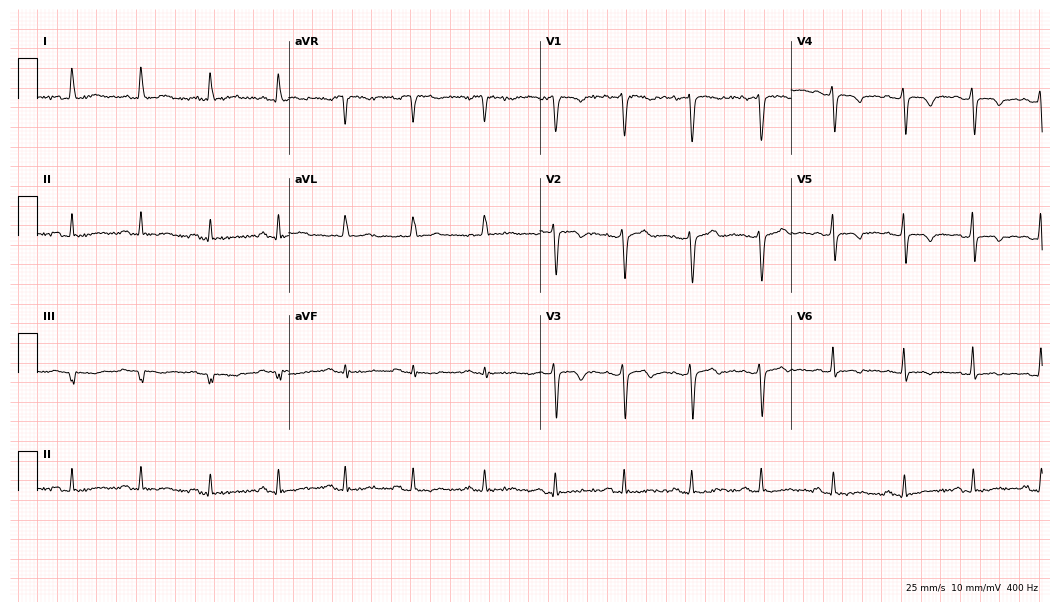
Resting 12-lead electrocardiogram (10.2-second recording at 400 Hz). Patient: a 50-year-old woman. None of these six findings is recorded: first-degree AV block, right bundle branch block, left bundle branch block, sinus bradycardia, atrial fibrillation, sinus tachycardia.